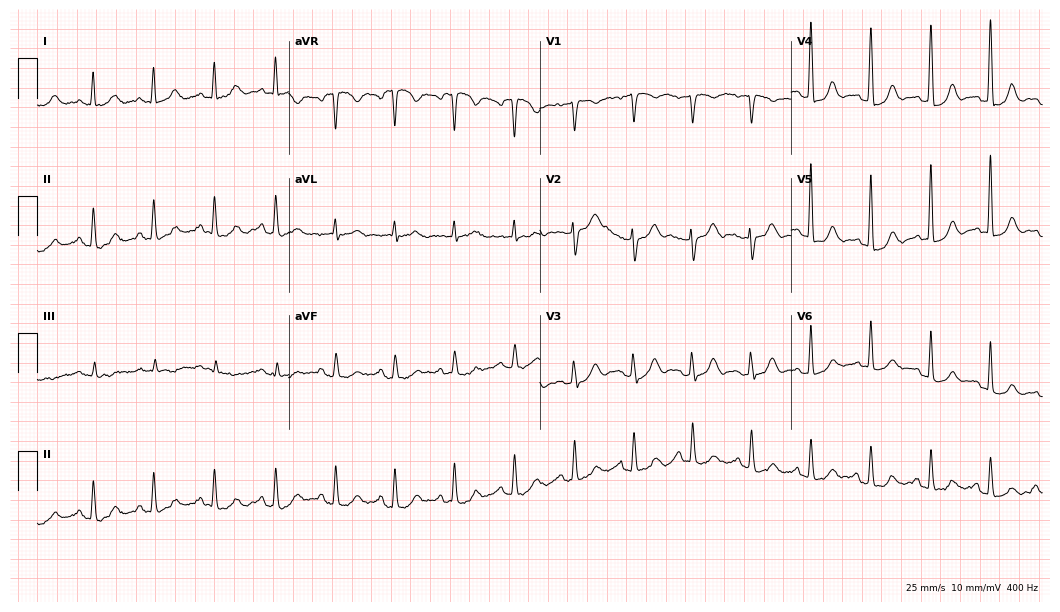
ECG (10.2-second recording at 400 Hz) — a 53-year-old woman. Screened for six findings — first-degree AV block, right bundle branch block (RBBB), left bundle branch block (LBBB), sinus bradycardia, atrial fibrillation (AF), sinus tachycardia — none is recorded. Only these six findings were labelled.